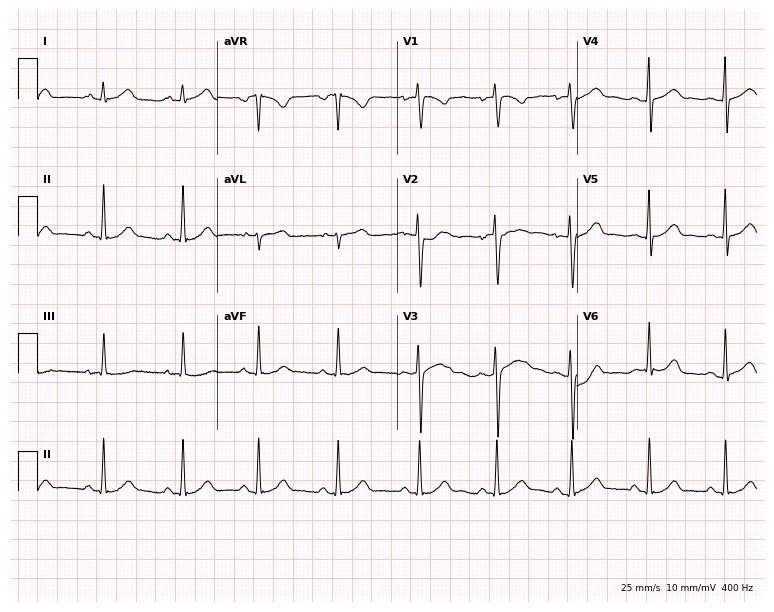
Standard 12-lead ECG recorded from a female patient, 19 years old. Read as a normal ECG.